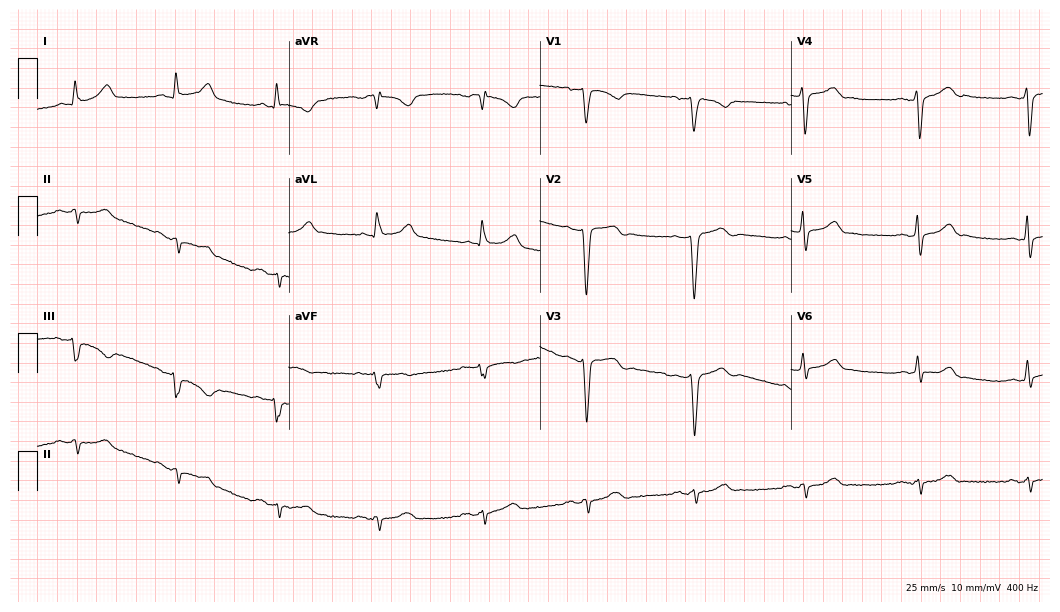
12-lead ECG from a male patient, 56 years old. Screened for six findings — first-degree AV block, right bundle branch block, left bundle branch block, sinus bradycardia, atrial fibrillation, sinus tachycardia — none is recorded.